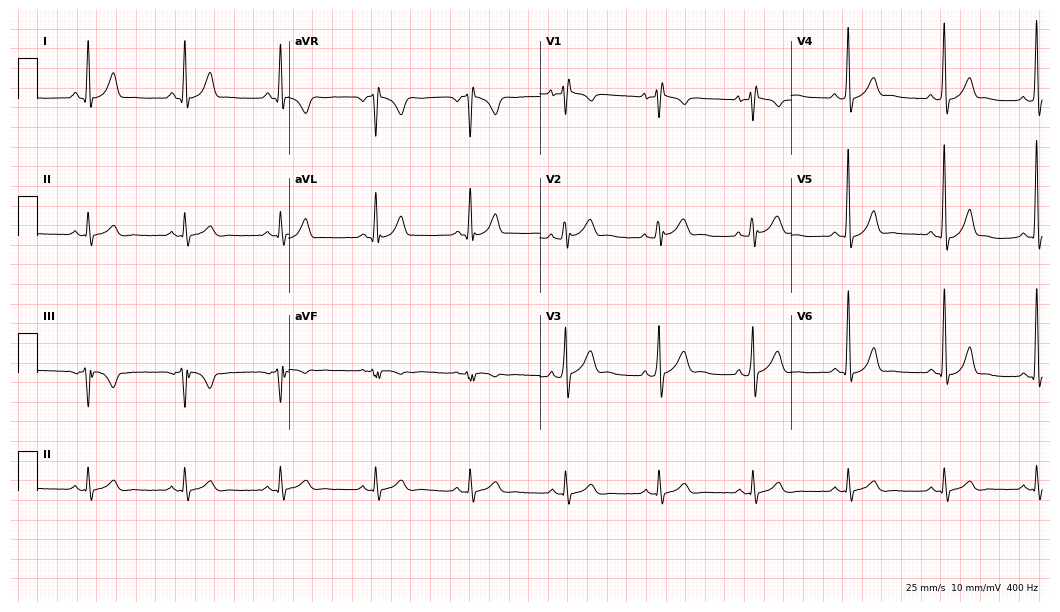
Standard 12-lead ECG recorded from a 39-year-old male patient (10.2-second recording at 400 Hz). None of these six findings is recorded: first-degree AV block, right bundle branch block, left bundle branch block, sinus bradycardia, atrial fibrillation, sinus tachycardia.